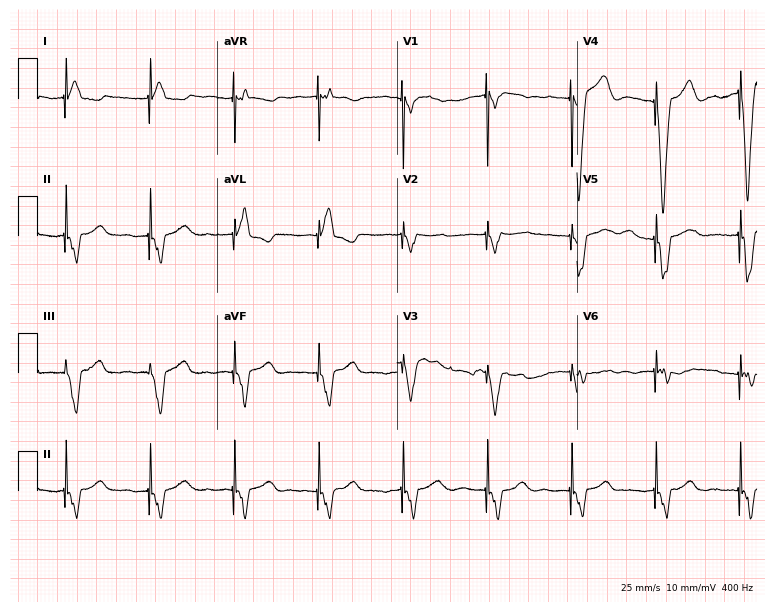
12-lead ECG (7.3-second recording at 400 Hz) from a female patient, 71 years old. Screened for six findings — first-degree AV block, right bundle branch block, left bundle branch block, sinus bradycardia, atrial fibrillation, sinus tachycardia — none is recorded.